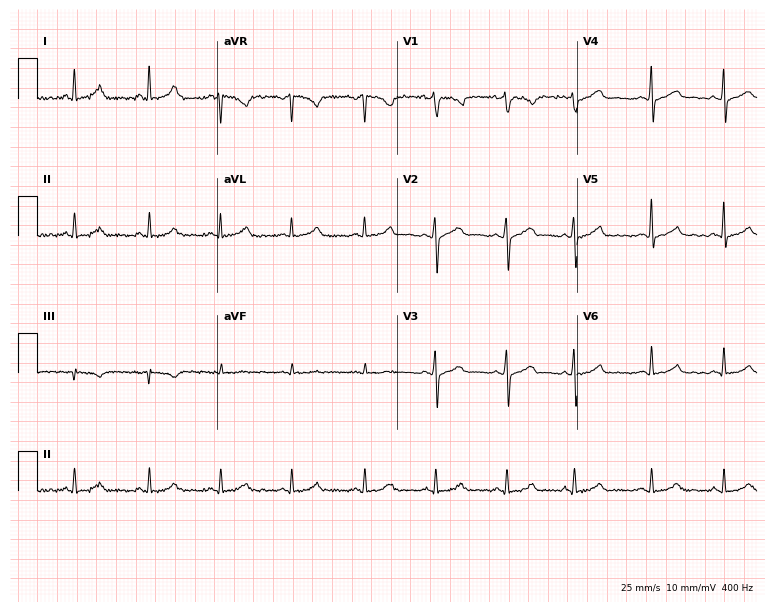
12-lead ECG from a female patient, 30 years old. No first-degree AV block, right bundle branch block (RBBB), left bundle branch block (LBBB), sinus bradycardia, atrial fibrillation (AF) or sinus tachycardia recorded for this tracing.